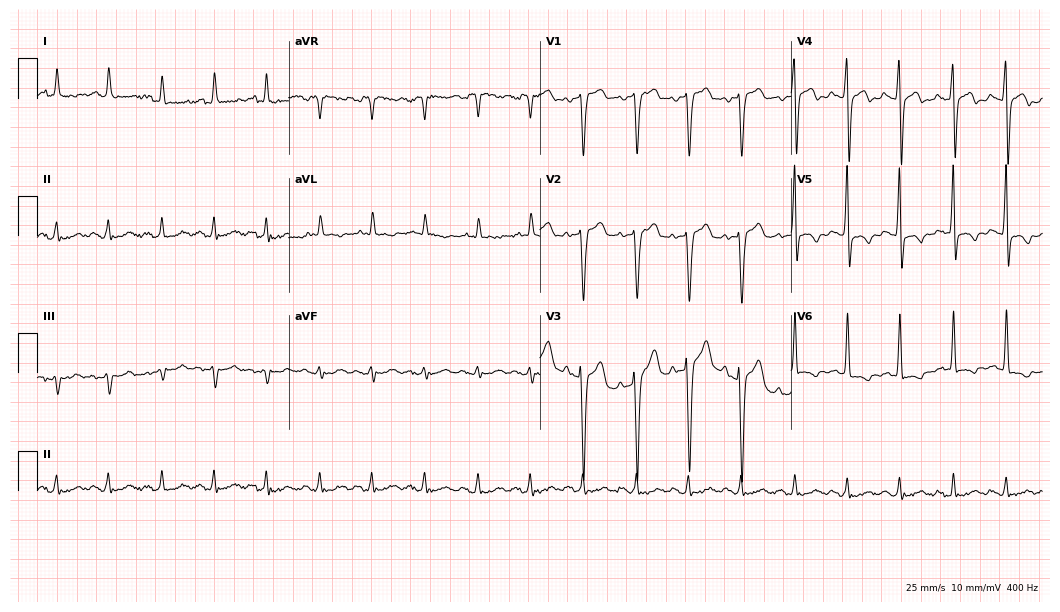
12-lead ECG from a male patient, 66 years old. Shows sinus tachycardia (a sinus rate of 100 beats per minute or more).